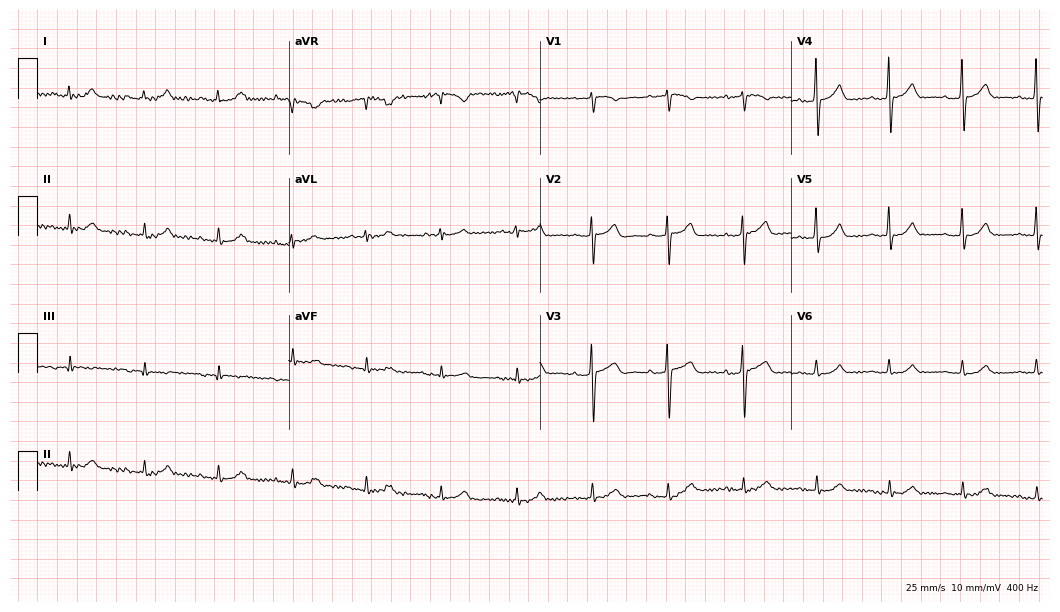
ECG — a female patient, 74 years old. Screened for six findings — first-degree AV block, right bundle branch block, left bundle branch block, sinus bradycardia, atrial fibrillation, sinus tachycardia — none is recorded. Findings outside these six are not listed.